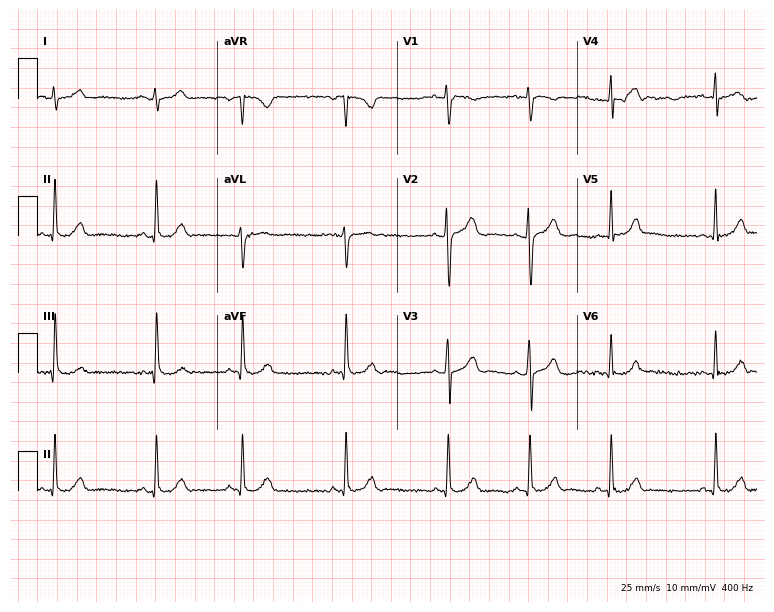
ECG — a 21-year-old woman. Labelled as a normal ECG.